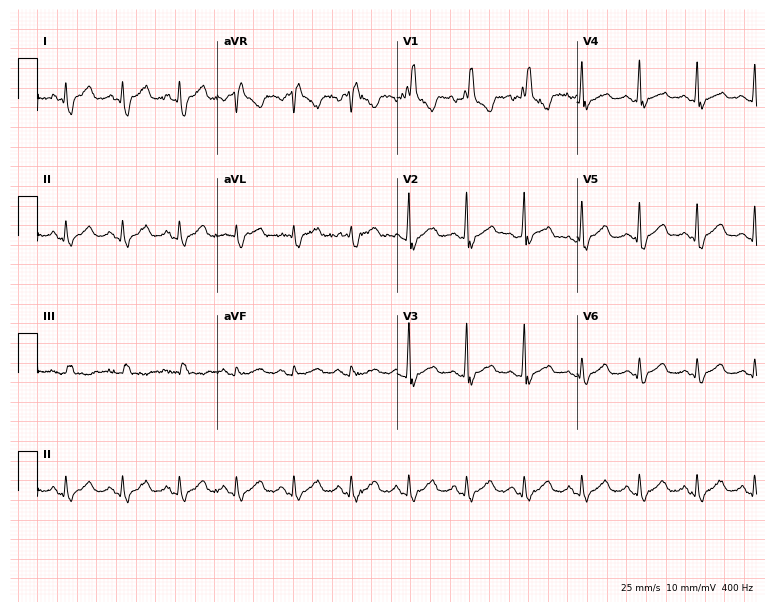
Resting 12-lead electrocardiogram. Patient: a man, 66 years old. The tracing shows right bundle branch block, sinus tachycardia (a sinus rate of 100 beats per minute or more).